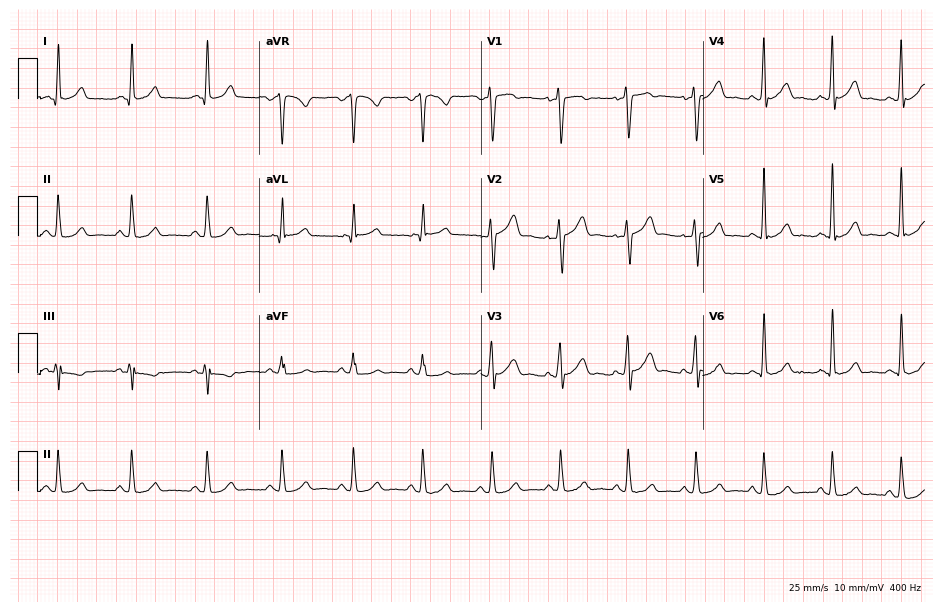
12-lead ECG from a 31-year-old male patient (9-second recording at 400 Hz). Recorded interpretation: within normal limits.